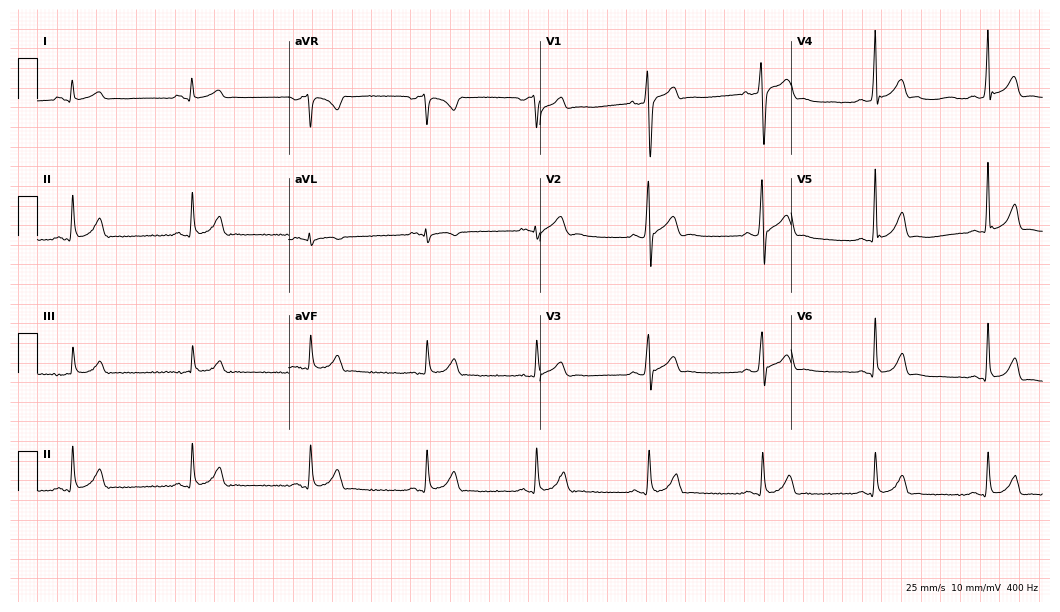
ECG (10.2-second recording at 400 Hz) — a male patient, 26 years old. Labelled as a normal ECG.